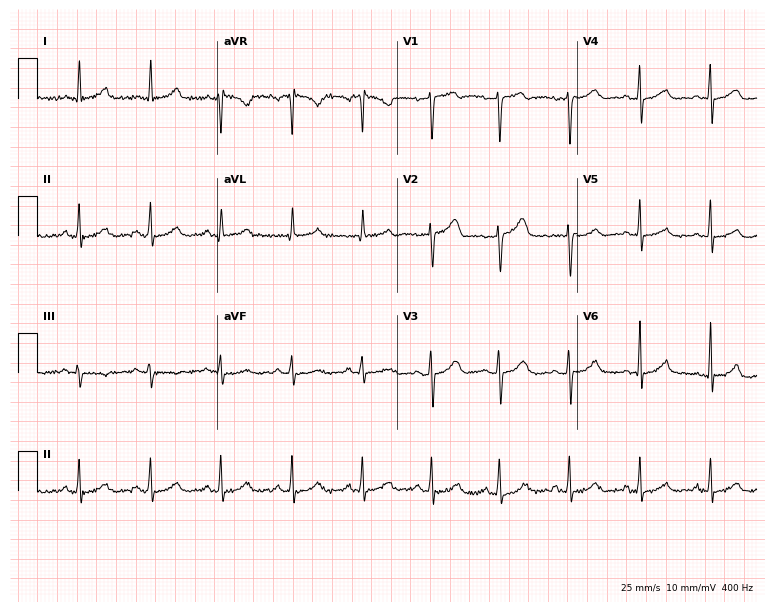
12-lead ECG from a 30-year-old female. Labelled as a normal ECG.